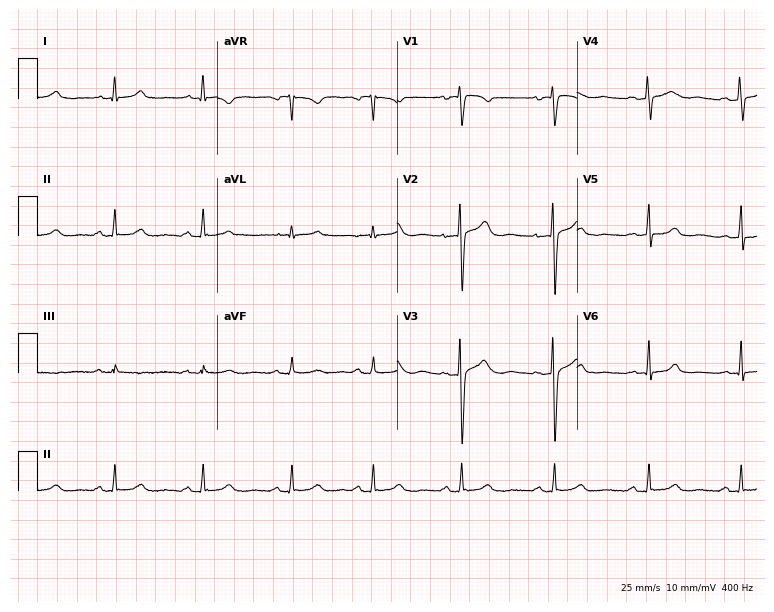
Resting 12-lead electrocardiogram. Patient: a female, 25 years old. Read as a normal ECG.